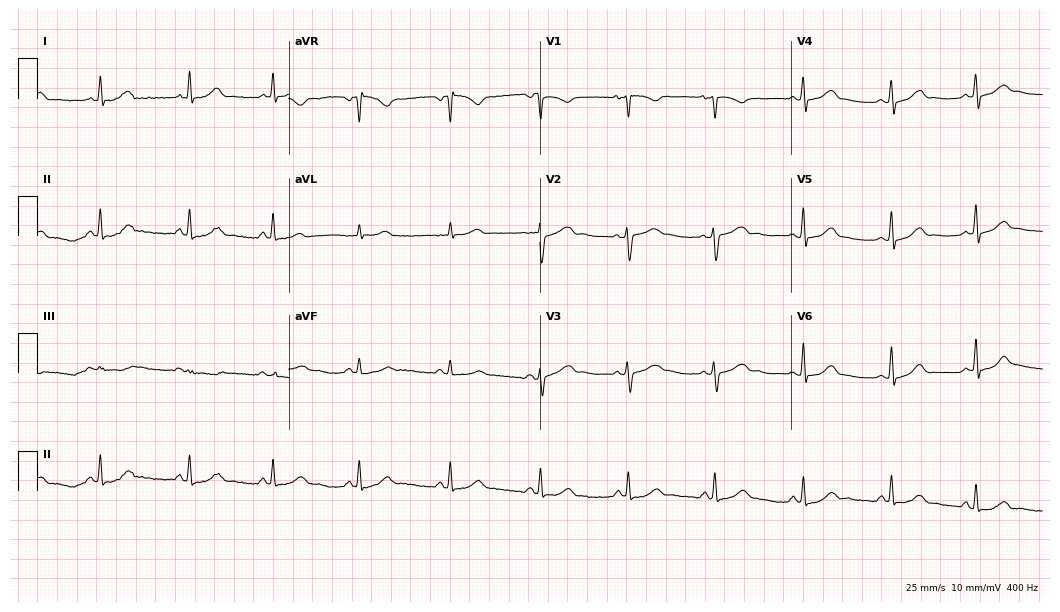
12-lead ECG (10.2-second recording at 400 Hz) from a female patient, 45 years old. Labelled as a normal ECG.